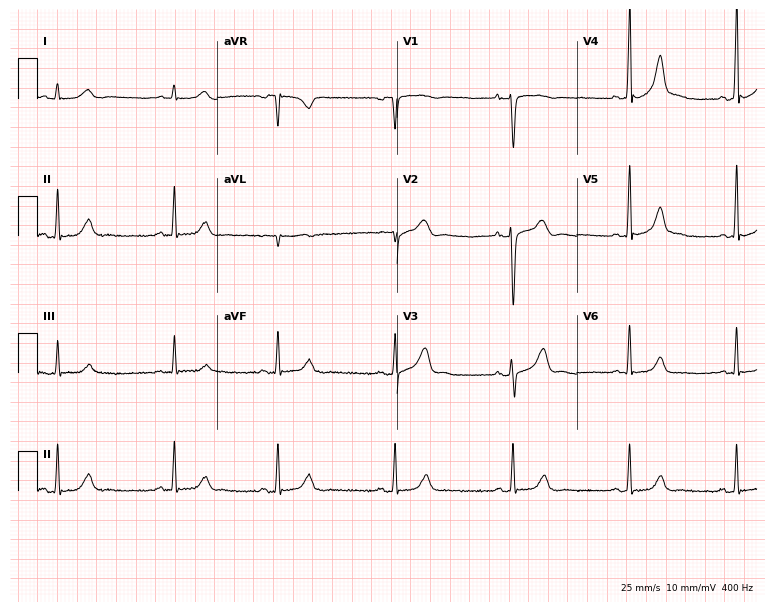
12-lead ECG (7.3-second recording at 400 Hz) from a female patient, 31 years old. Screened for six findings — first-degree AV block, right bundle branch block (RBBB), left bundle branch block (LBBB), sinus bradycardia, atrial fibrillation (AF), sinus tachycardia — none is recorded. Findings outside these six are not listed.